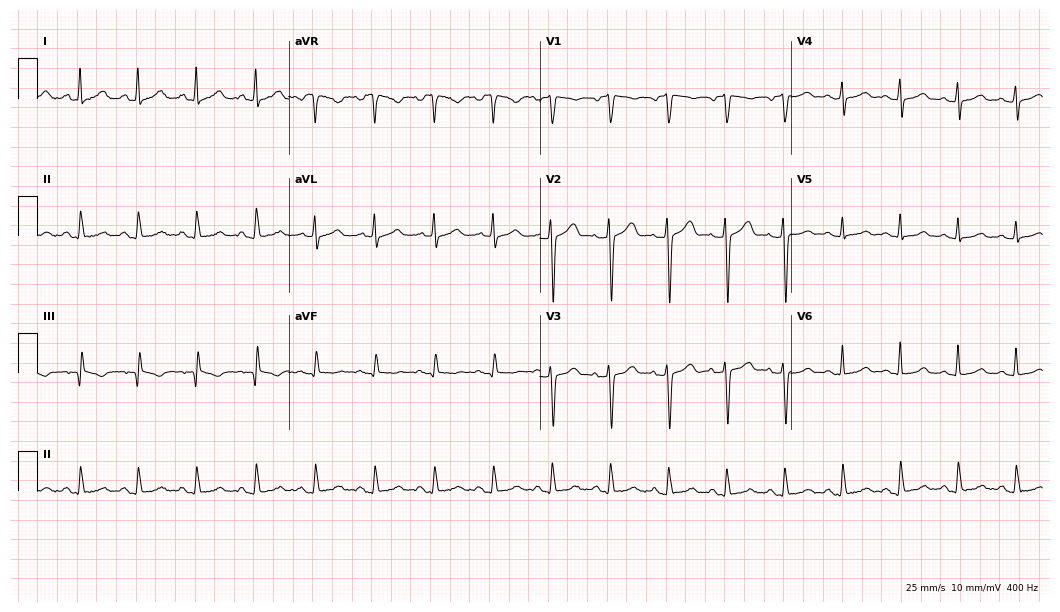
Standard 12-lead ECG recorded from a woman, 44 years old. The tracing shows sinus tachycardia (a sinus rate of 100 beats per minute or more).